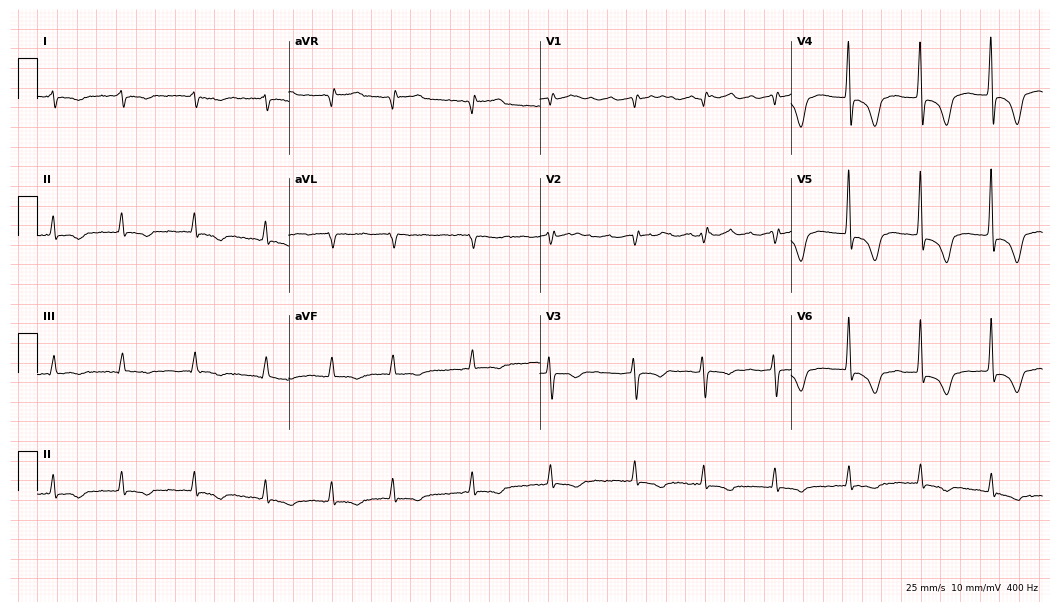
ECG — a 59-year-old female. Findings include atrial fibrillation.